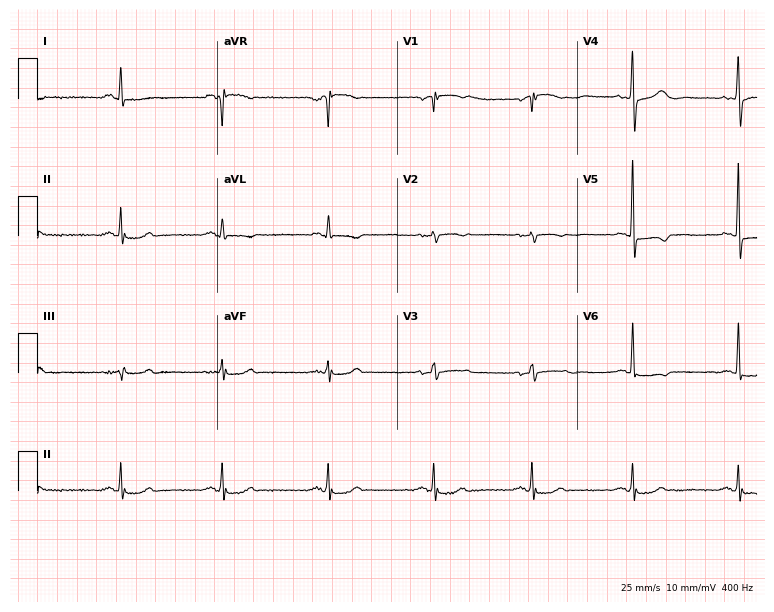
Standard 12-lead ECG recorded from a 71-year-old woman. None of these six findings is recorded: first-degree AV block, right bundle branch block (RBBB), left bundle branch block (LBBB), sinus bradycardia, atrial fibrillation (AF), sinus tachycardia.